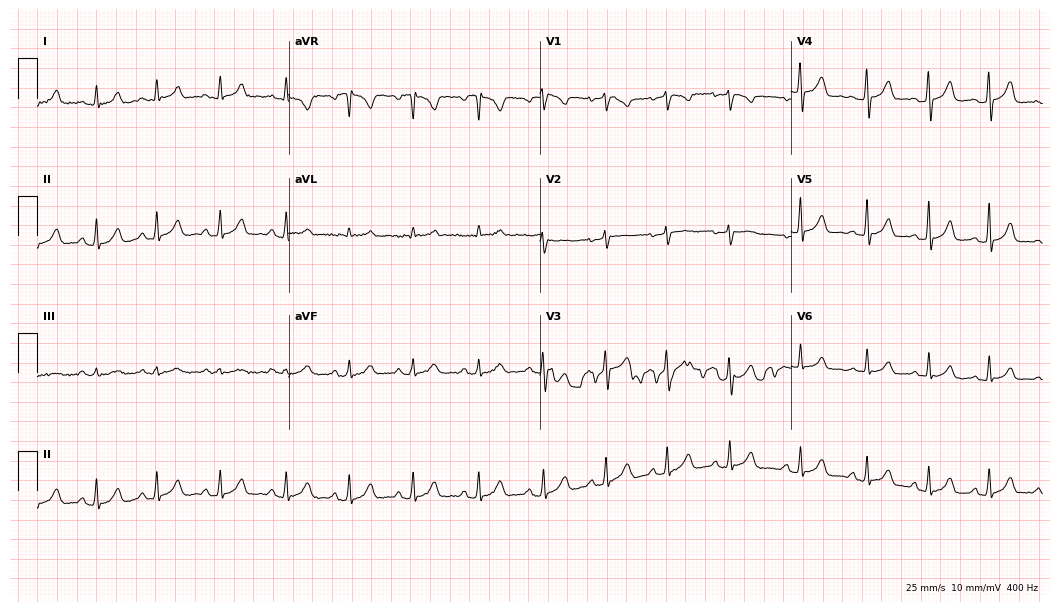
ECG — an 83-year-old female patient. Labelled as a normal ECG.